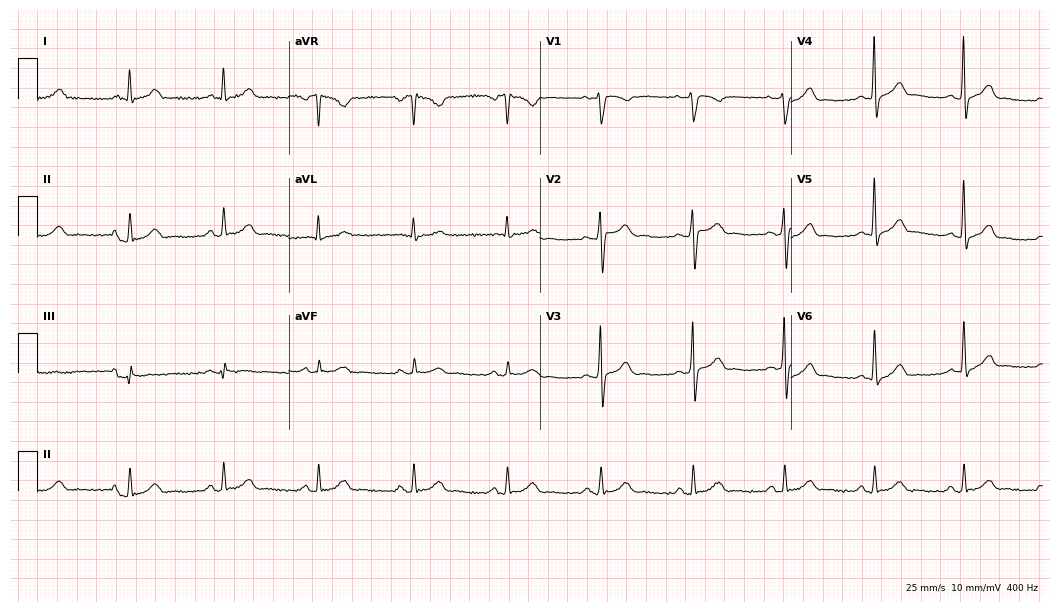
ECG (10.2-second recording at 400 Hz) — a man, 47 years old. Screened for six findings — first-degree AV block, right bundle branch block, left bundle branch block, sinus bradycardia, atrial fibrillation, sinus tachycardia — none is recorded.